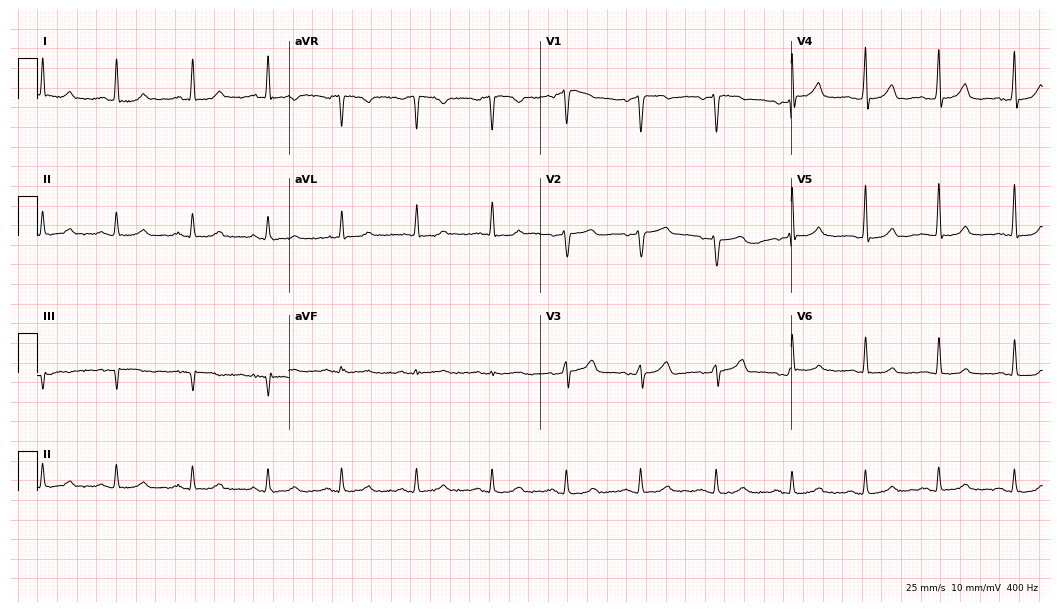
Resting 12-lead electrocardiogram (10.2-second recording at 400 Hz). Patient: a 45-year-old female. Read as a normal ECG.